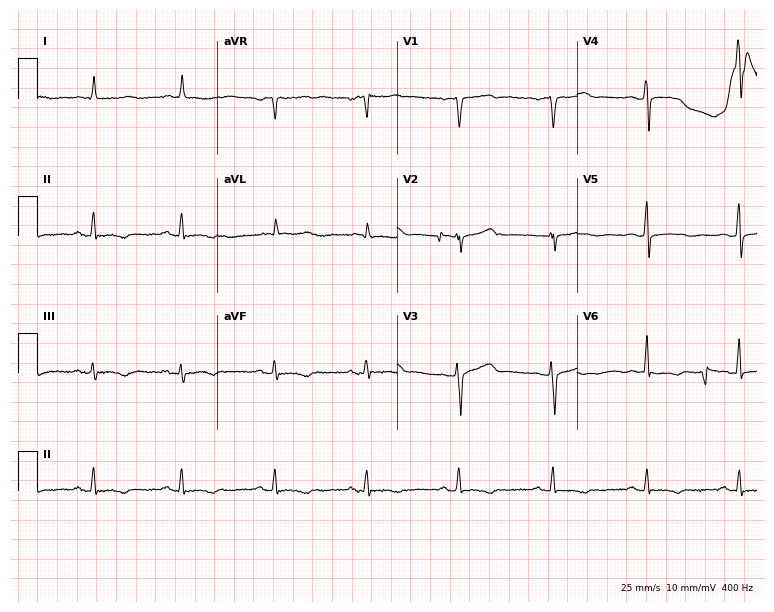
12-lead ECG from a male, 48 years old (7.3-second recording at 400 Hz). No first-degree AV block, right bundle branch block (RBBB), left bundle branch block (LBBB), sinus bradycardia, atrial fibrillation (AF) or sinus tachycardia recorded for this tracing. Other findings, if any, are not listed.